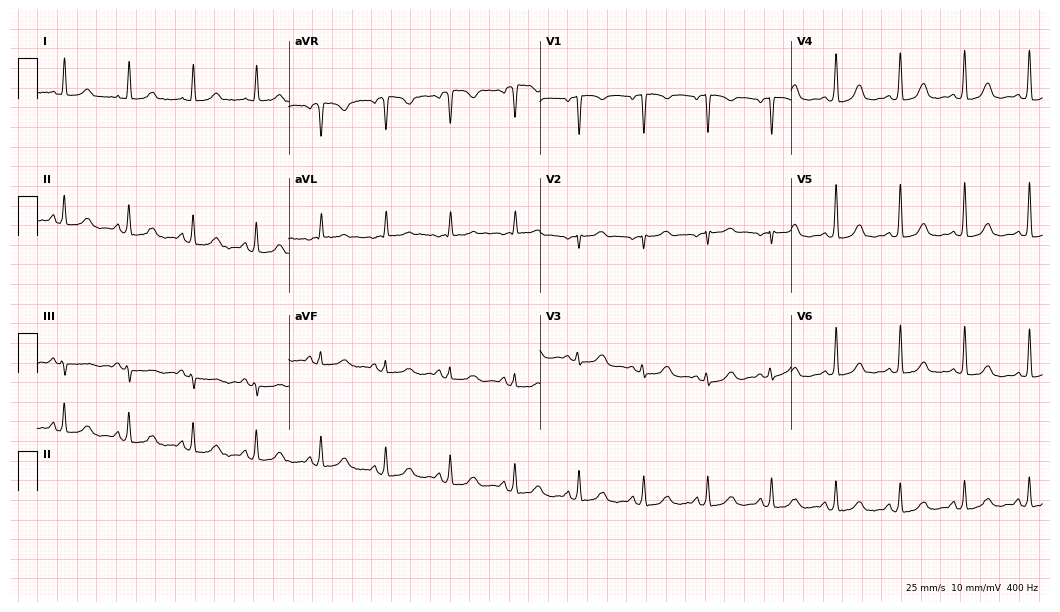
Electrocardiogram, a 58-year-old woman. Of the six screened findings (first-degree AV block, right bundle branch block, left bundle branch block, sinus bradycardia, atrial fibrillation, sinus tachycardia), none is recorded.